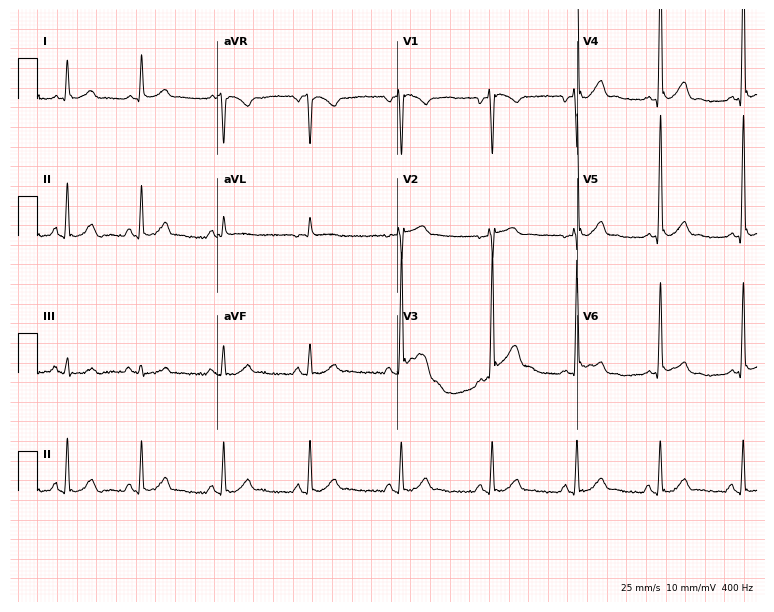
Resting 12-lead electrocardiogram (7.3-second recording at 400 Hz). Patient: a male, 43 years old. None of these six findings is recorded: first-degree AV block, right bundle branch block (RBBB), left bundle branch block (LBBB), sinus bradycardia, atrial fibrillation (AF), sinus tachycardia. Other findings, if any, are not listed.